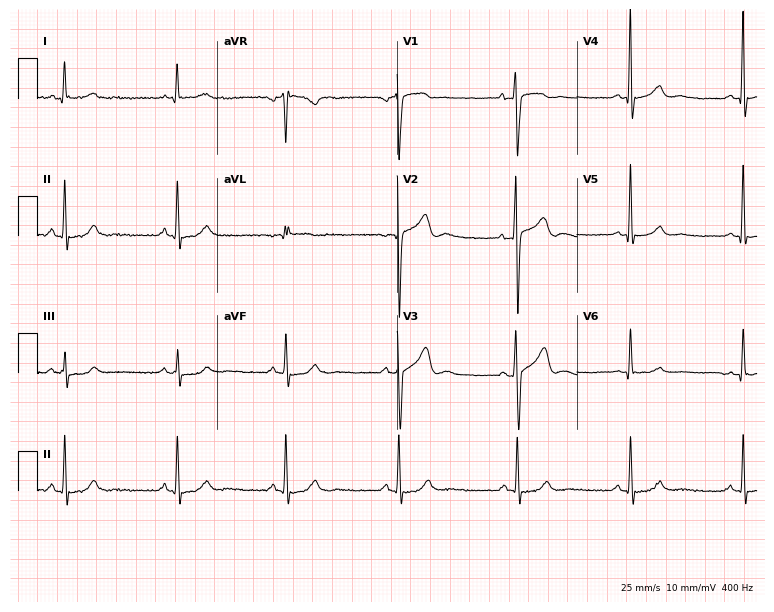
12-lead ECG from a male, 40 years old (7.3-second recording at 400 Hz). No first-degree AV block, right bundle branch block, left bundle branch block, sinus bradycardia, atrial fibrillation or sinus tachycardia recorded for this tracing.